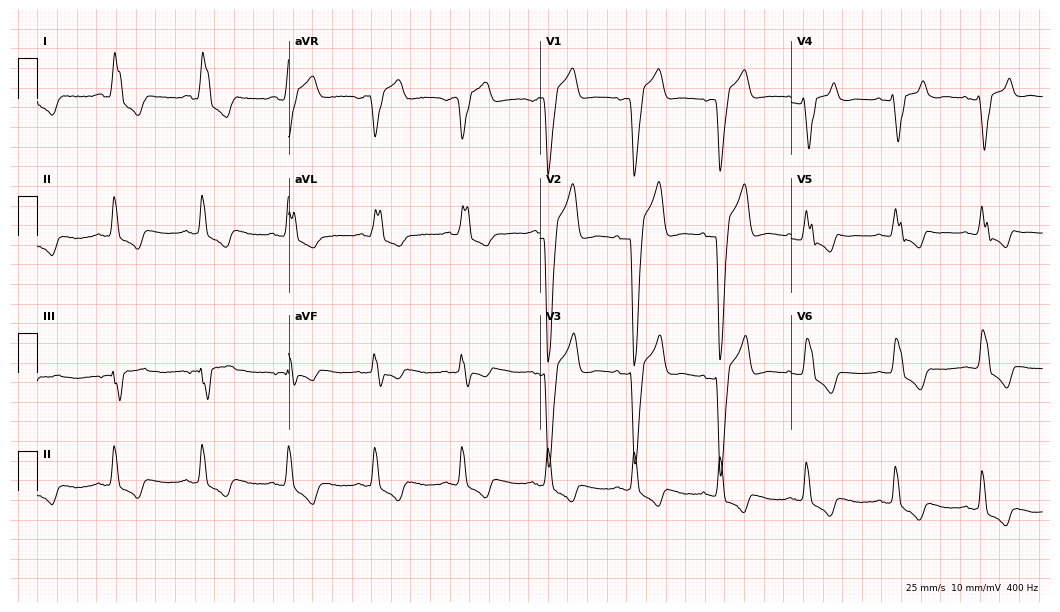
Resting 12-lead electrocardiogram (10.2-second recording at 400 Hz). Patient: a female, 80 years old. None of these six findings is recorded: first-degree AV block, right bundle branch block, left bundle branch block, sinus bradycardia, atrial fibrillation, sinus tachycardia.